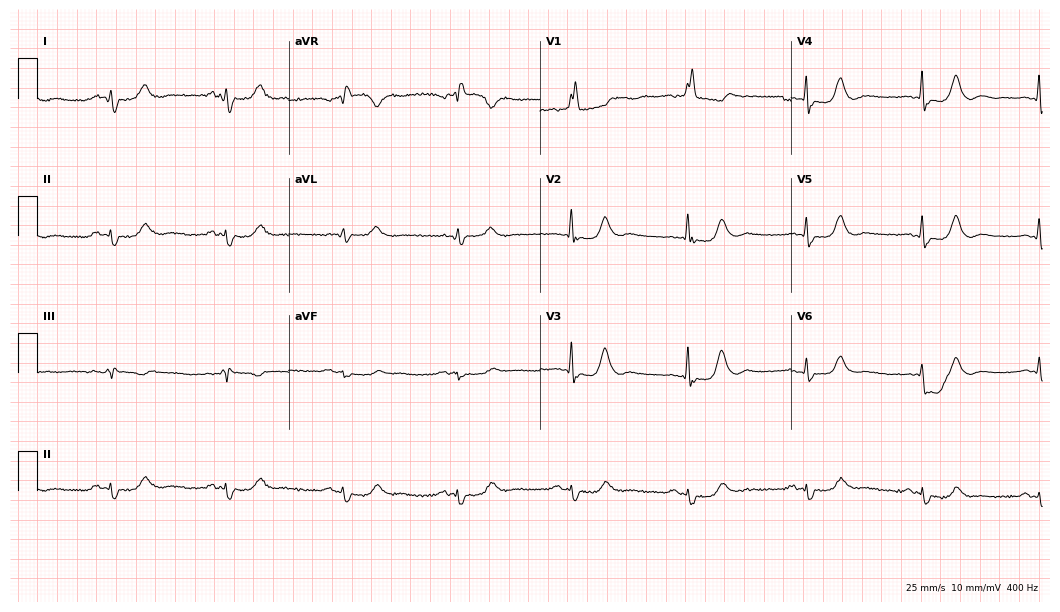
12-lead ECG from a female patient, 74 years old (10.2-second recording at 400 Hz). Shows right bundle branch block (RBBB).